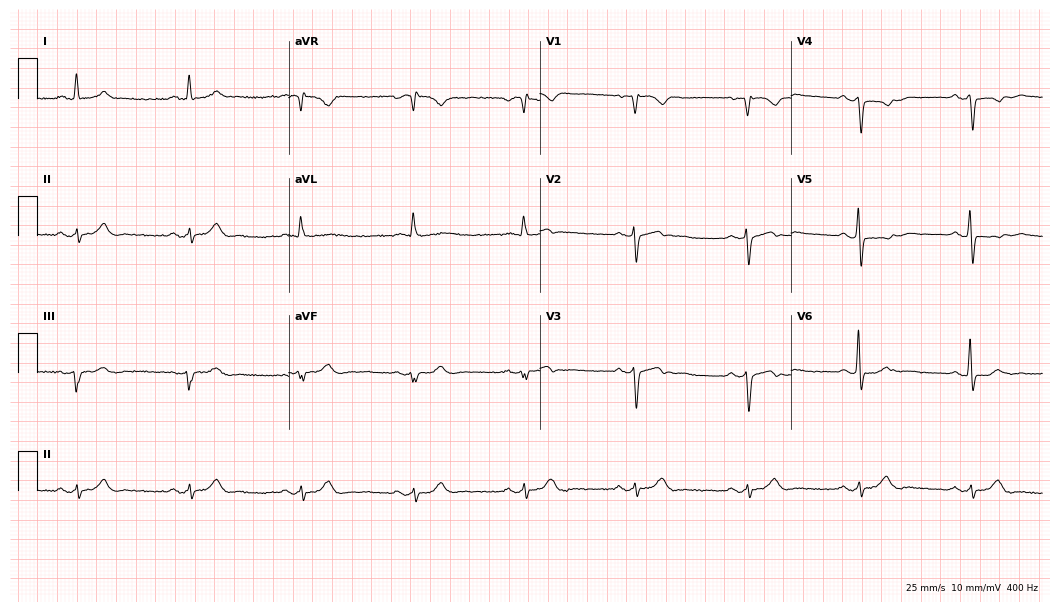
Resting 12-lead electrocardiogram. Patient: a 62-year-old man. Read as a normal ECG.